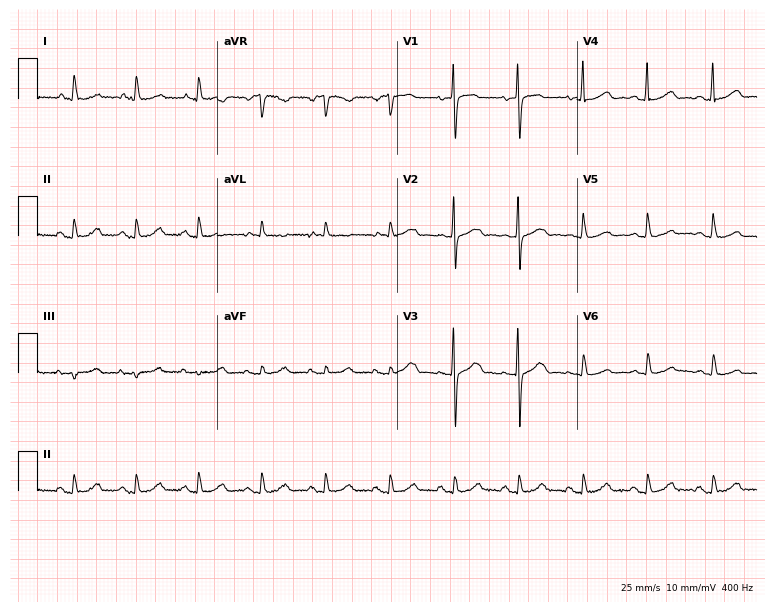
Electrocardiogram (7.3-second recording at 400 Hz), a 76-year-old female. Overall reading on record: normal ECG.